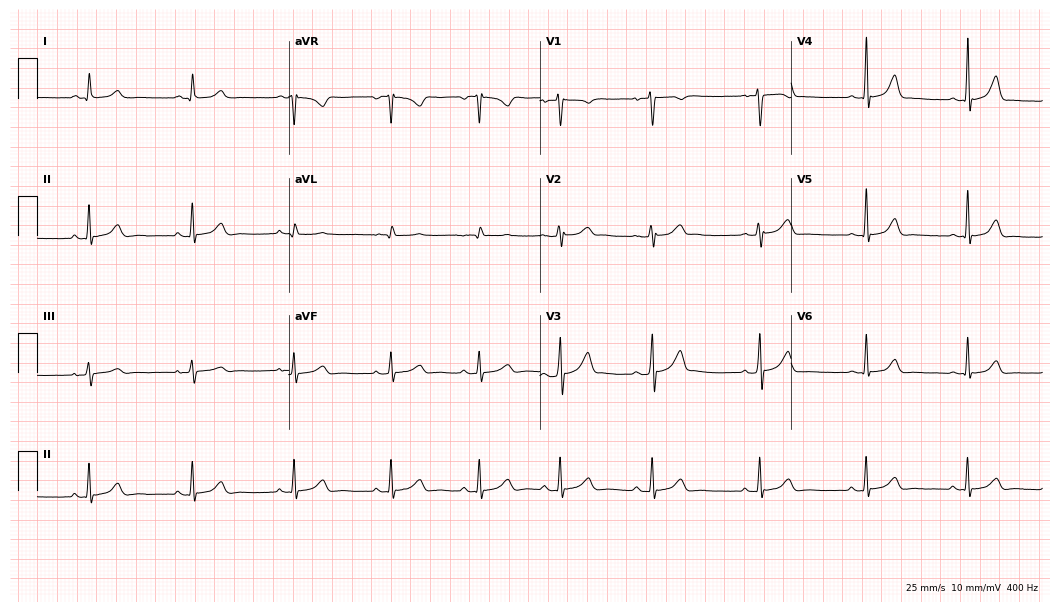
Electrocardiogram, an 18-year-old woman. Overall reading on record: normal ECG.